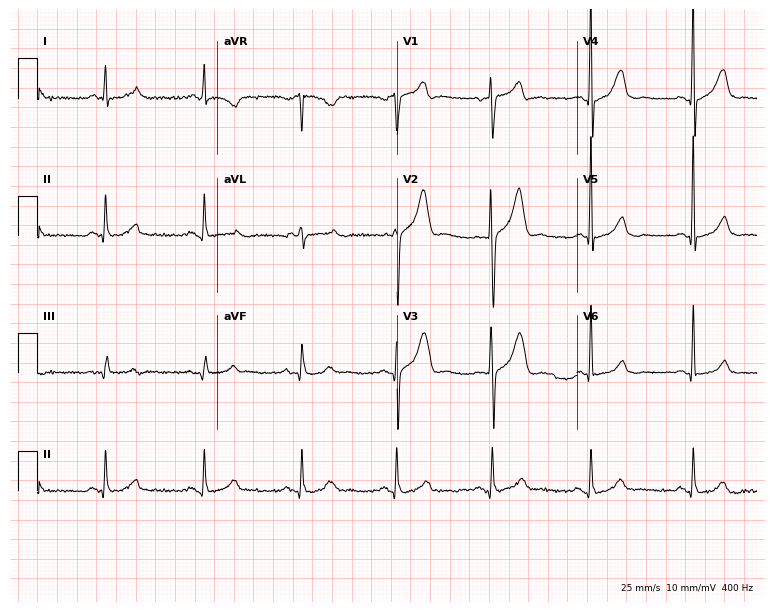
Standard 12-lead ECG recorded from a male patient, 40 years old. None of these six findings is recorded: first-degree AV block, right bundle branch block, left bundle branch block, sinus bradycardia, atrial fibrillation, sinus tachycardia. Other findings, if any, are not listed.